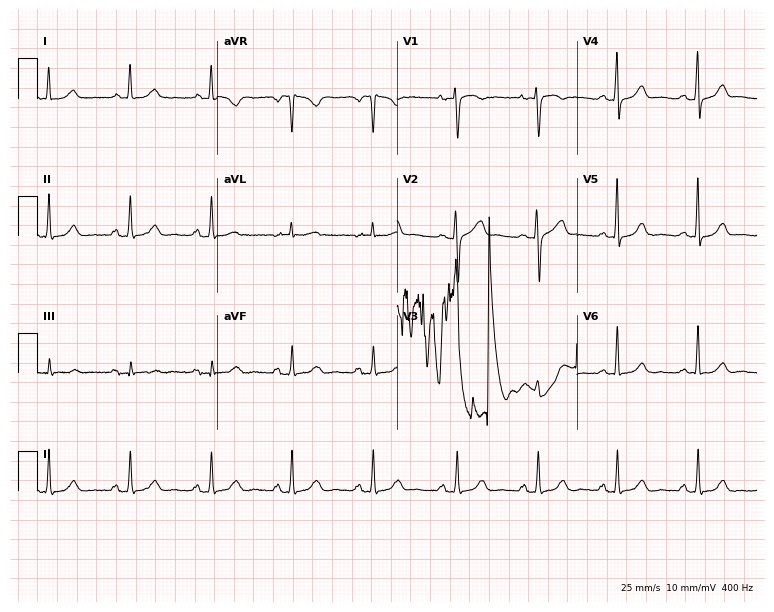
12-lead ECG from a 62-year-old female. Labelled as a normal ECG.